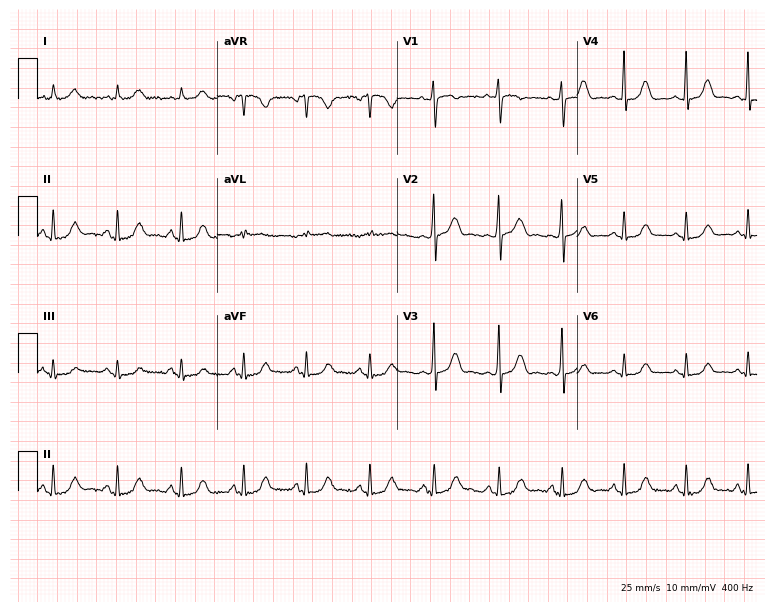
ECG (7.3-second recording at 400 Hz) — a 44-year-old female patient. Labelled as a normal ECG.